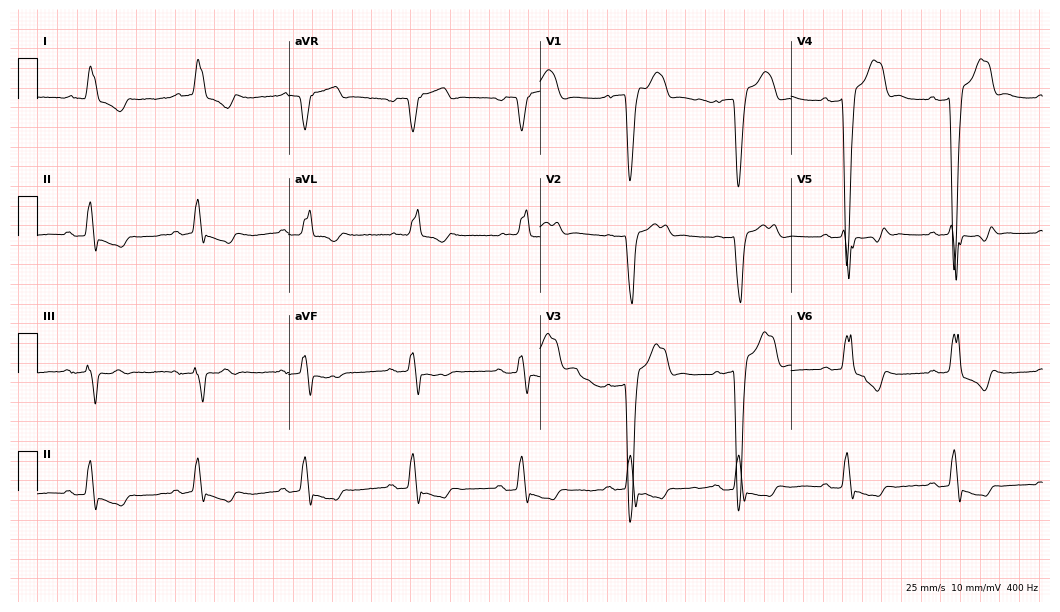
Standard 12-lead ECG recorded from a male, 83 years old. The tracing shows left bundle branch block.